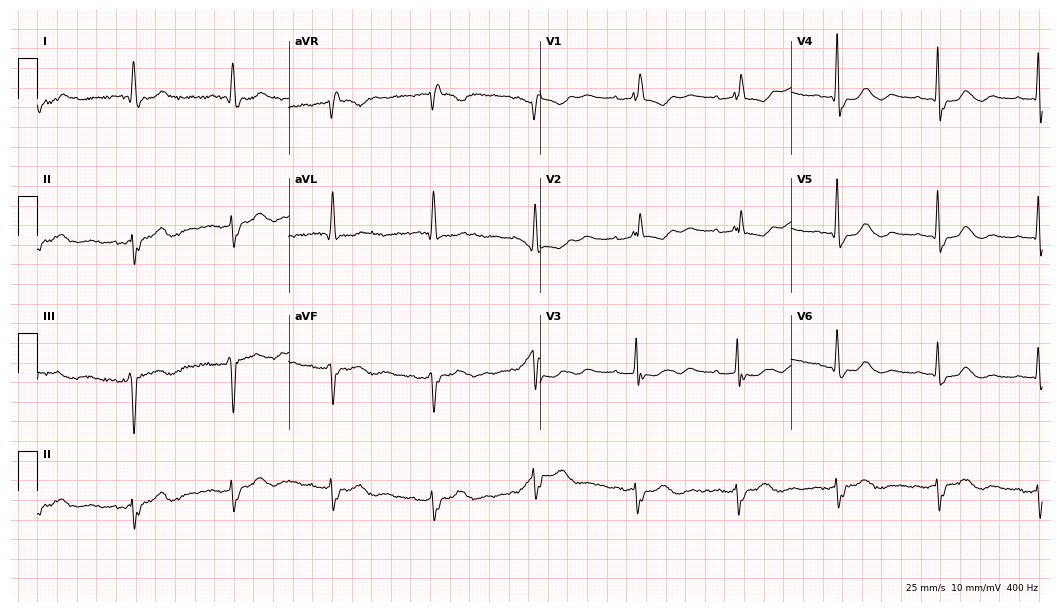
Electrocardiogram, a female, 84 years old. Of the six screened findings (first-degree AV block, right bundle branch block (RBBB), left bundle branch block (LBBB), sinus bradycardia, atrial fibrillation (AF), sinus tachycardia), none is recorded.